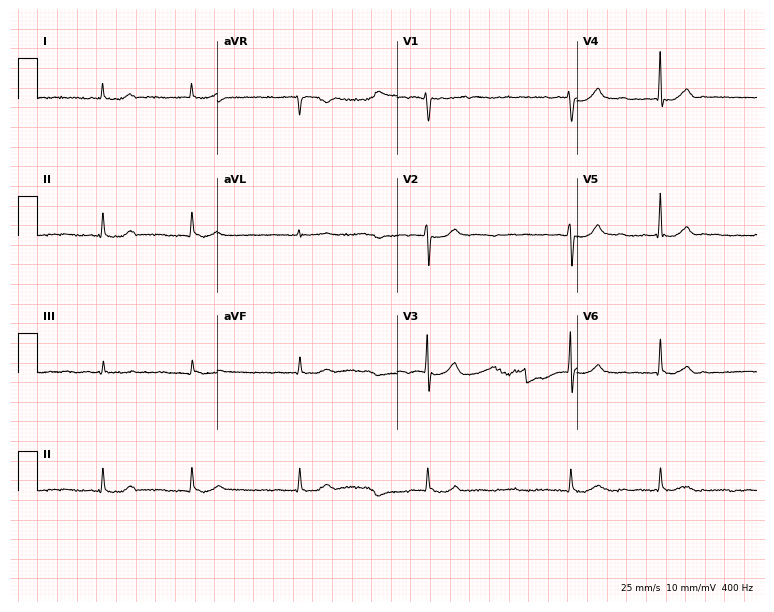
ECG (7.3-second recording at 400 Hz) — an 84-year-old woman. Findings include atrial fibrillation (AF).